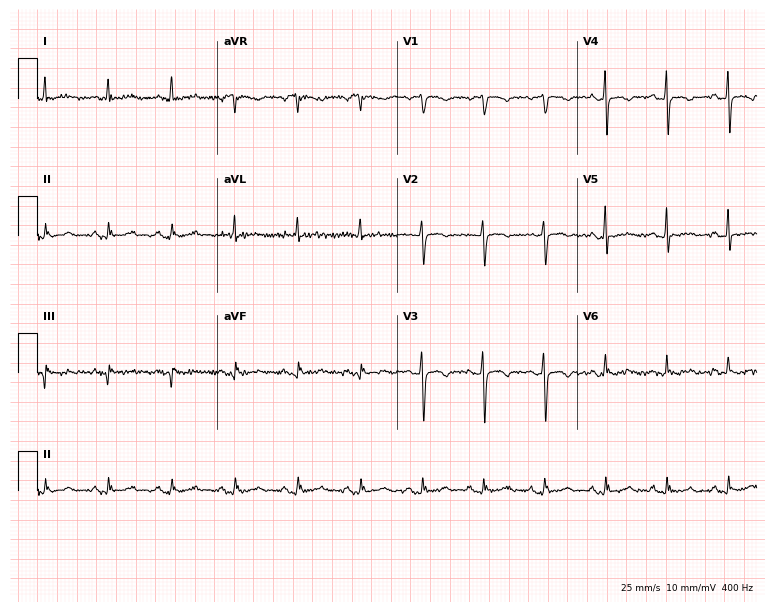
ECG — a 61-year-old female. Screened for six findings — first-degree AV block, right bundle branch block, left bundle branch block, sinus bradycardia, atrial fibrillation, sinus tachycardia — none is recorded. Other findings, if any, are not listed.